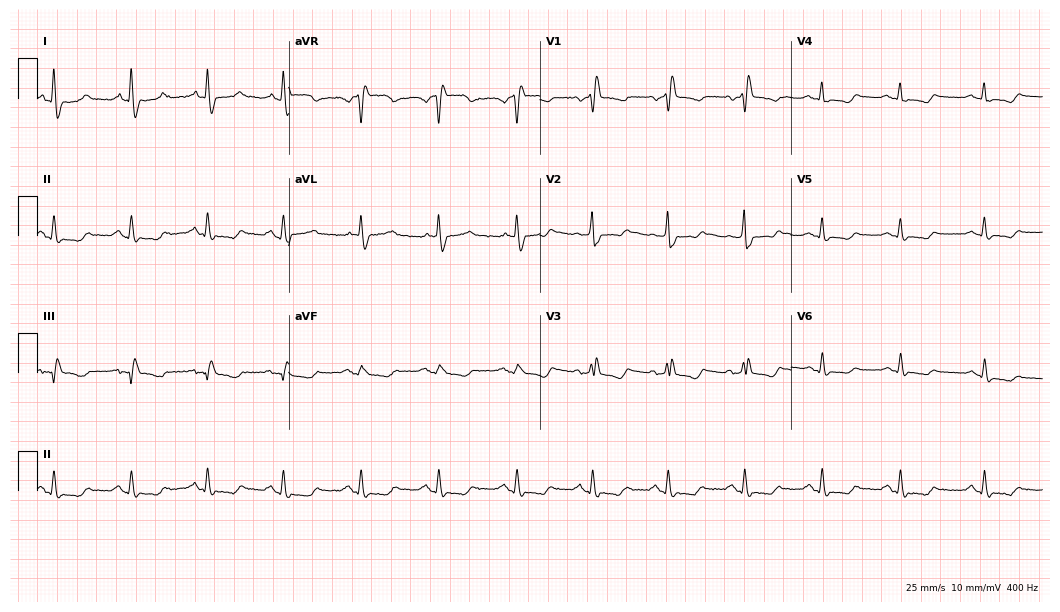
12-lead ECG from a 71-year-old female patient. Shows right bundle branch block.